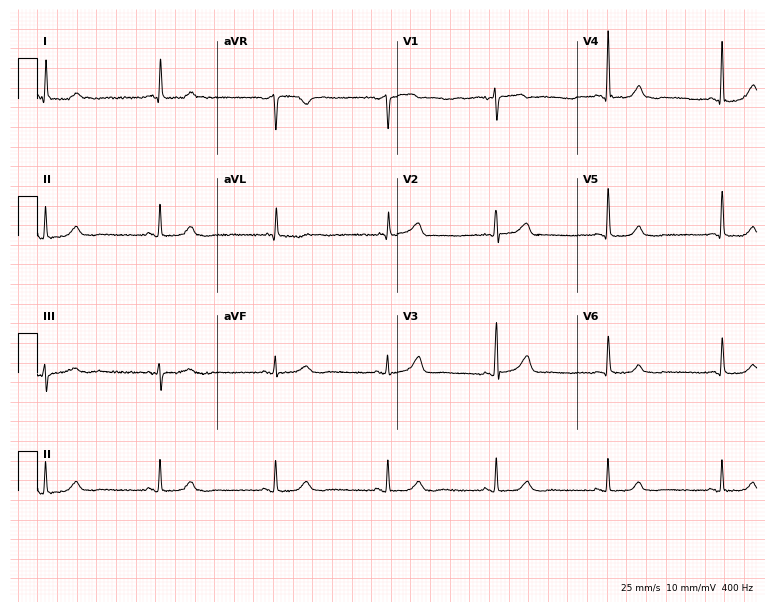
Standard 12-lead ECG recorded from a female, 78 years old. Read as a normal ECG.